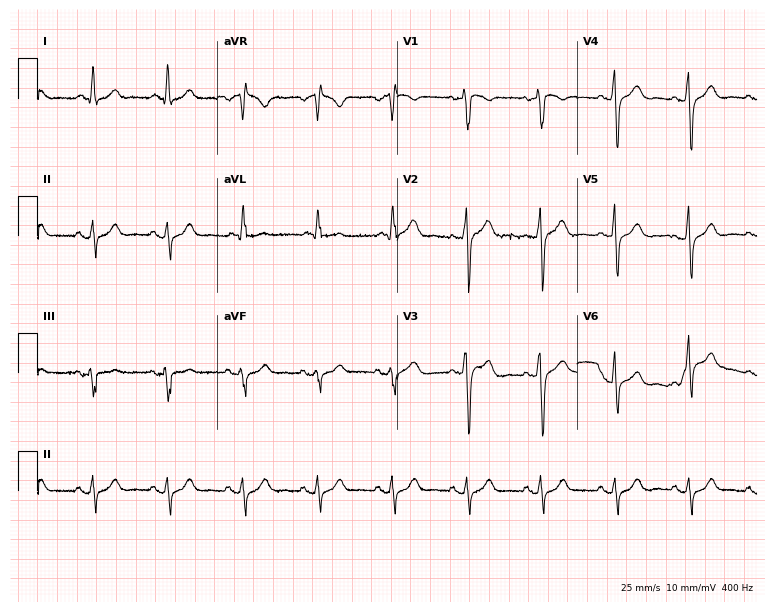
Resting 12-lead electrocardiogram (7.3-second recording at 400 Hz). Patient: a 60-year-old male. None of these six findings is recorded: first-degree AV block, right bundle branch block, left bundle branch block, sinus bradycardia, atrial fibrillation, sinus tachycardia.